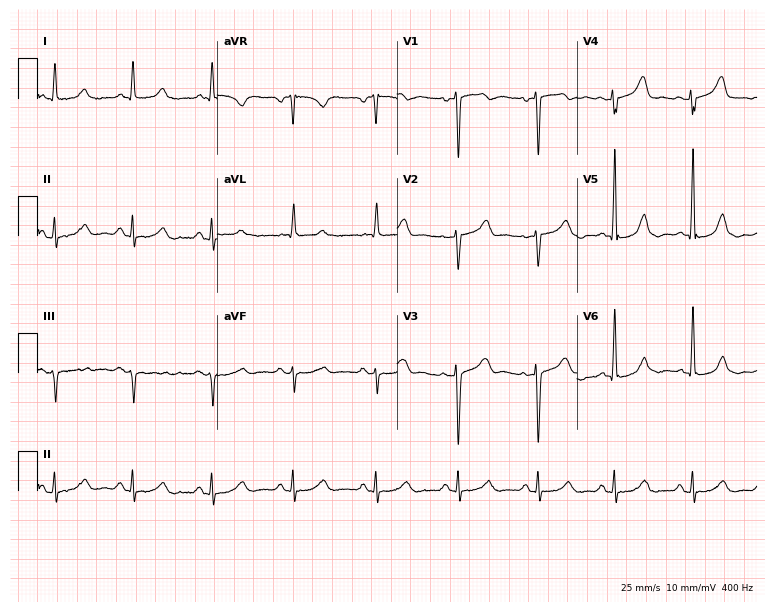
12-lead ECG from a female, 55 years old (7.3-second recording at 400 Hz). Recorded interpretation: within normal limits.